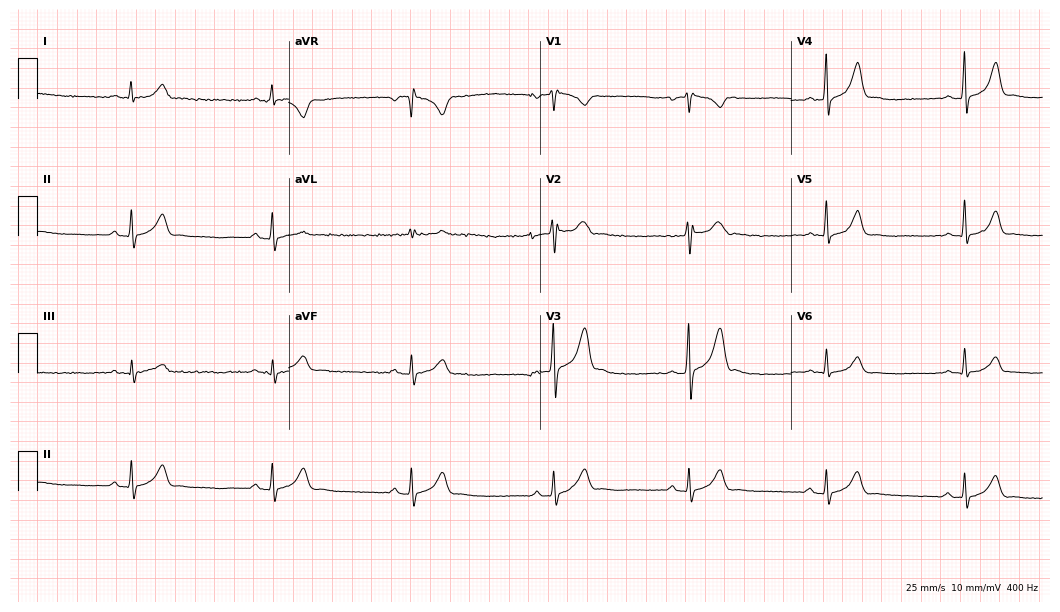
12-lead ECG from a 25-year-old man. Shows sinus bradycardia (a sinus rate of 50 beats per minute or less).